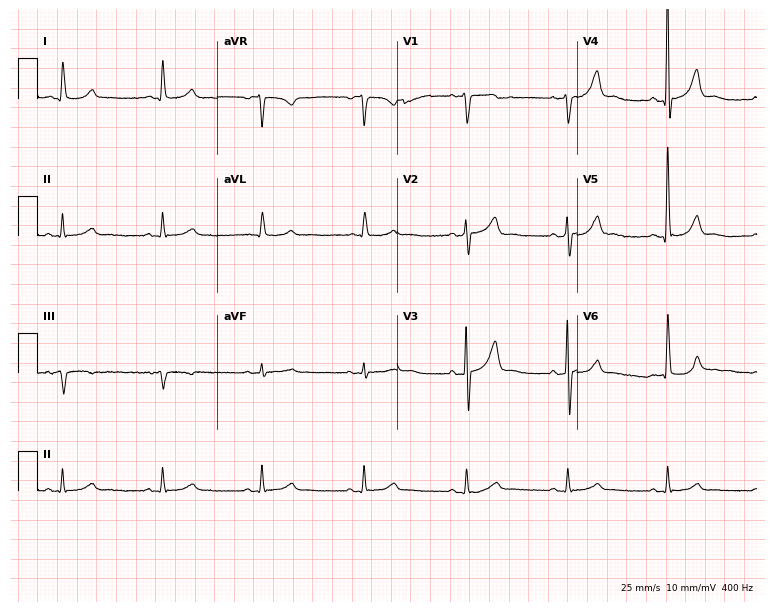
Standard 12-lead ECG recorded from a male patient, 83 years old (7.3-second recording at 400 Hz). Read as a normal ECG.